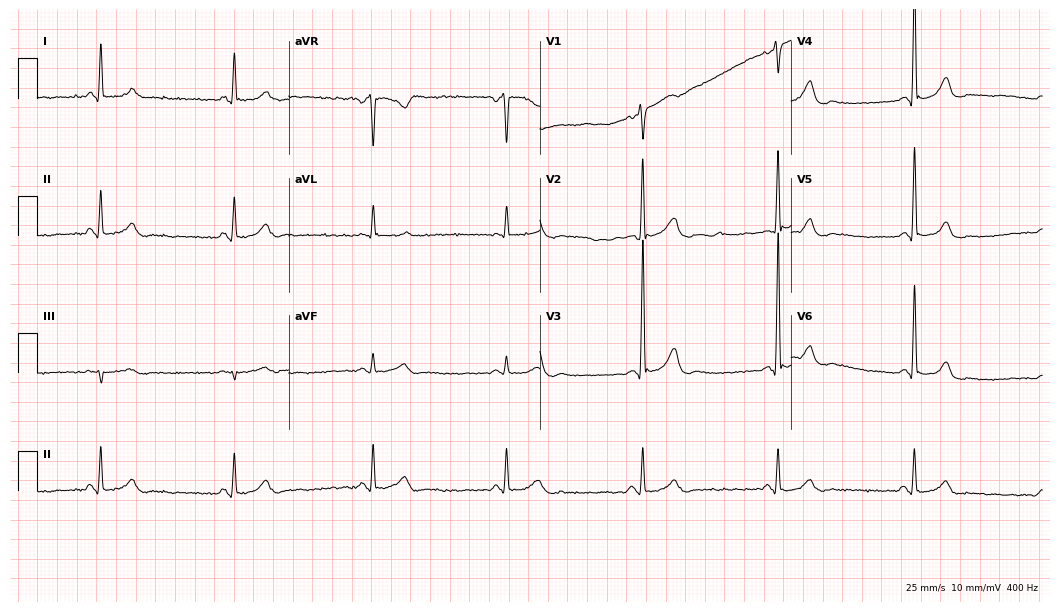
Electrocardiogram (10.2-second recording at 400 Hz), a 76-year-old male patient. Interpretation includes sinus bradycardia (a sinus rate of 50 beats per minute or less).